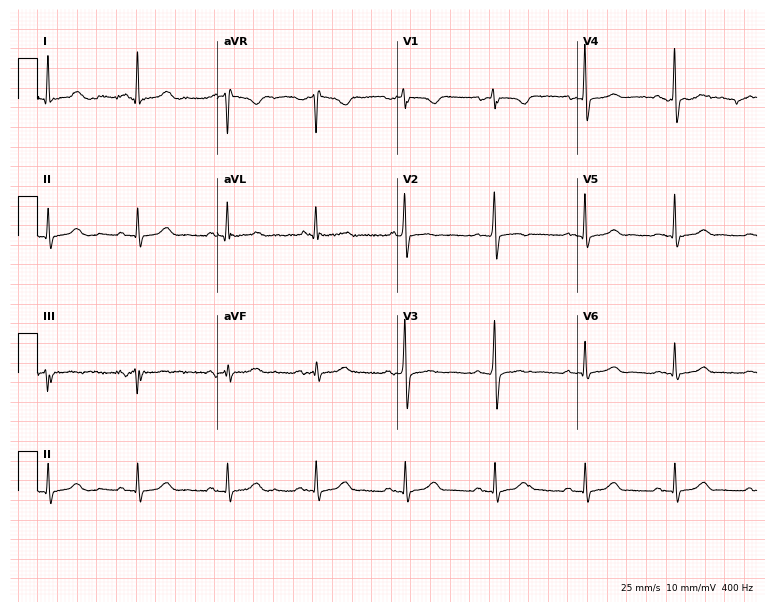
Electrocardiogram (7.3-second recording at 400 Hz), a female, 61 years old. Of the six screened findings (first-degree AV block, right bundle branch block (RBBB), left bundle branch block (LBBB), sinus bradycardia, atrial fibrillation (AF), sinus tachycardia), none is recorded. Findings outside these six are not listed.